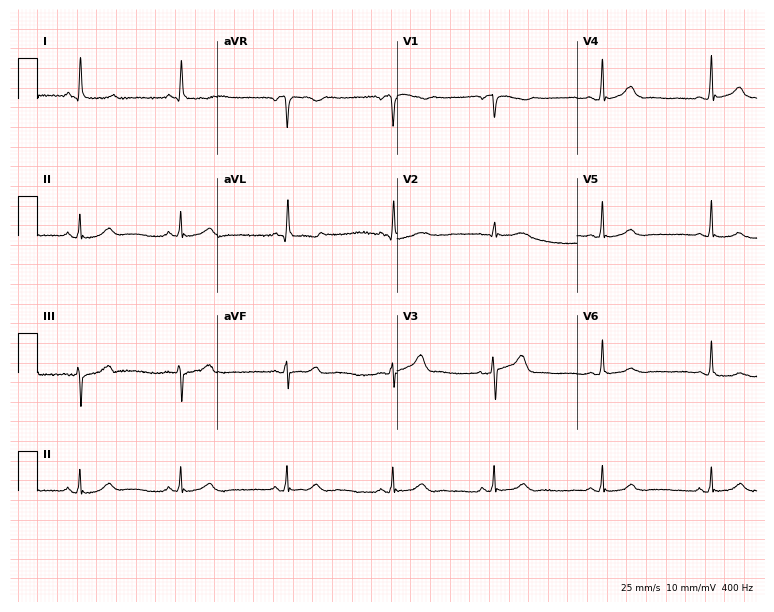
ECG (7.3-second recording at 400 Hz) — a 61-year-old female patient. Screened for six findings — first-degree AV block, right bundle branch block (RBBB), left bundle branch block (LBBB), sinus bradycardia, atrial fibrillation (AF), sinus tachycardia — none is recorded.